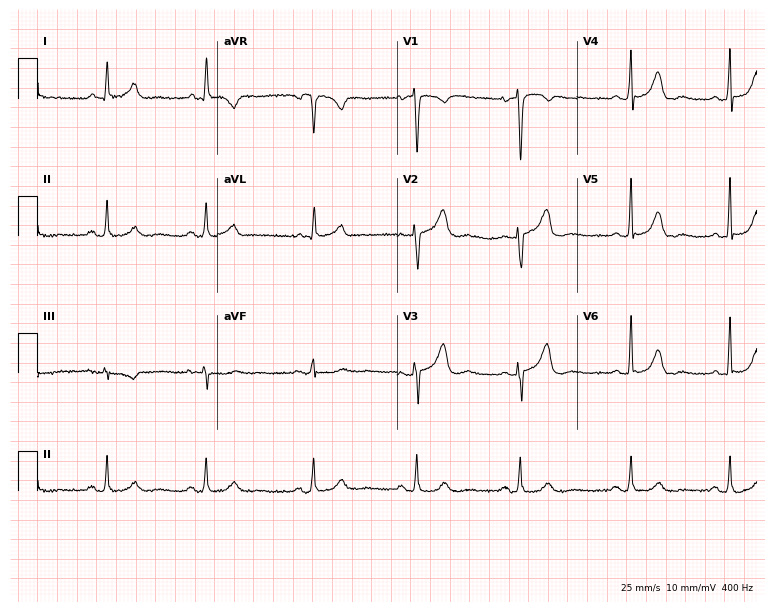
ECG (7.3-second recording at 400 Hz) — a female patient, 50 years old. Screened for six findings — first-degree AV block, right bundle branch block, left bundle branch block, sinus bradycardia, atrial fibrillation, sinus tachycardia — none is recorded.